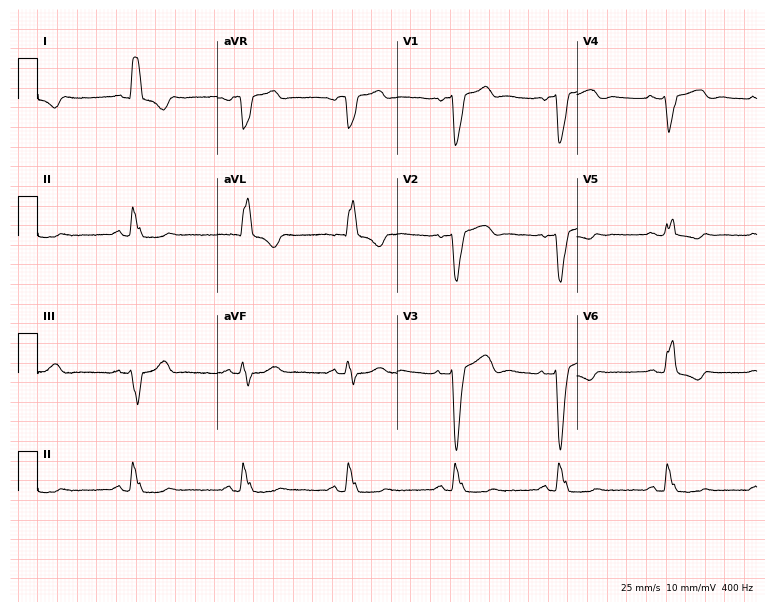
12-lead ECG from a female, 47 years old. No first-degree AV block, right bundle branch block, left bundle branch block, sinus bradycardia, atrial fibrillation or sinus tachycardia recorded for this tracing.